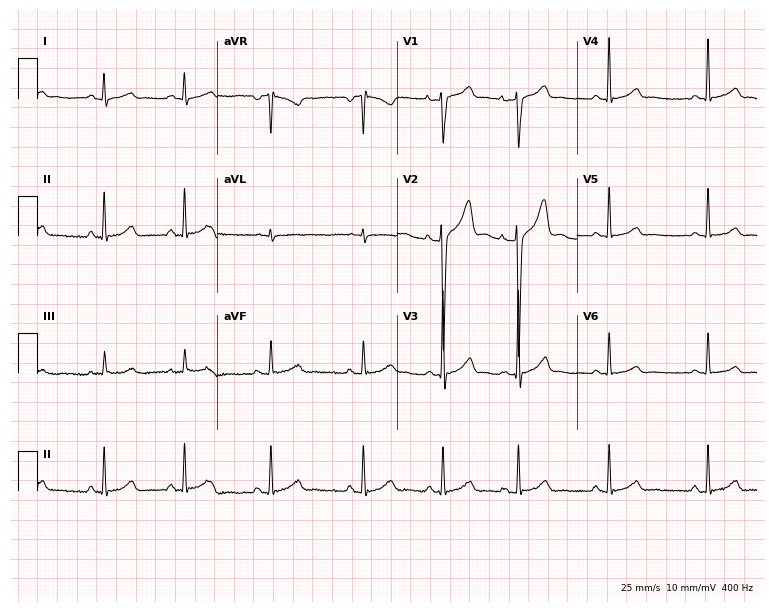
Electrocardiogram, a male patient, 31 years old. Overall reading on record: normal ECG.